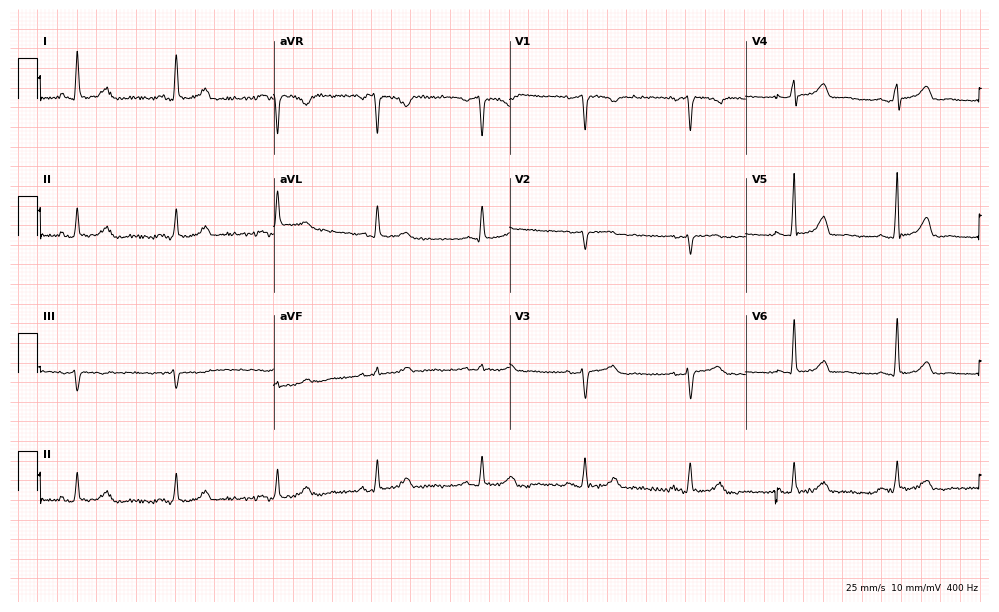
12-lead ECG from a 25-year-old male patient. No first-degree AV block, right bundle branch block (RBBB), left bundle branch block (LBBB), sinus bradycardia, atrial fibrillation (AF) or sinus tachycardia recorded for this tracing. Findings outside these six are not listed.